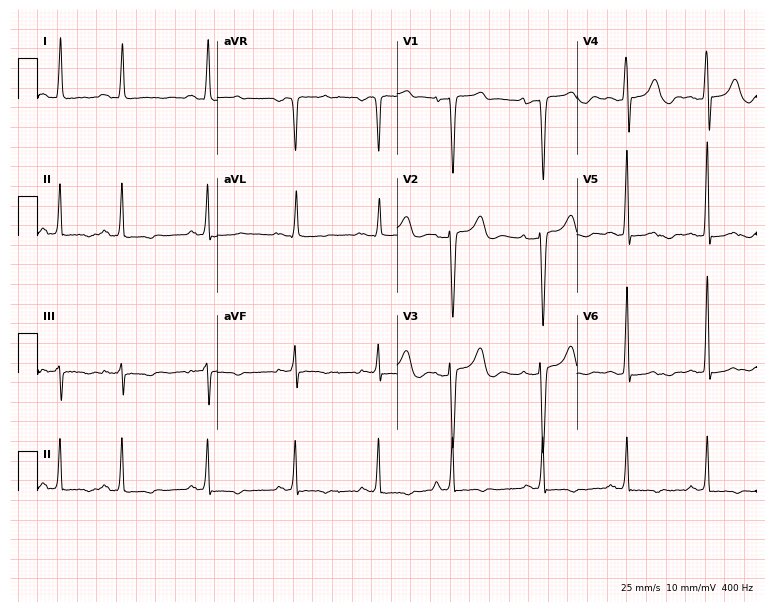
12-lead ECG from a 52-year-old female patient. Screened for six findings — first-degree AV block, right bundle branch block, left bundle branch block, sinus bradycardia, atrial fibrillation, sinus tachycardia — none is recorded.